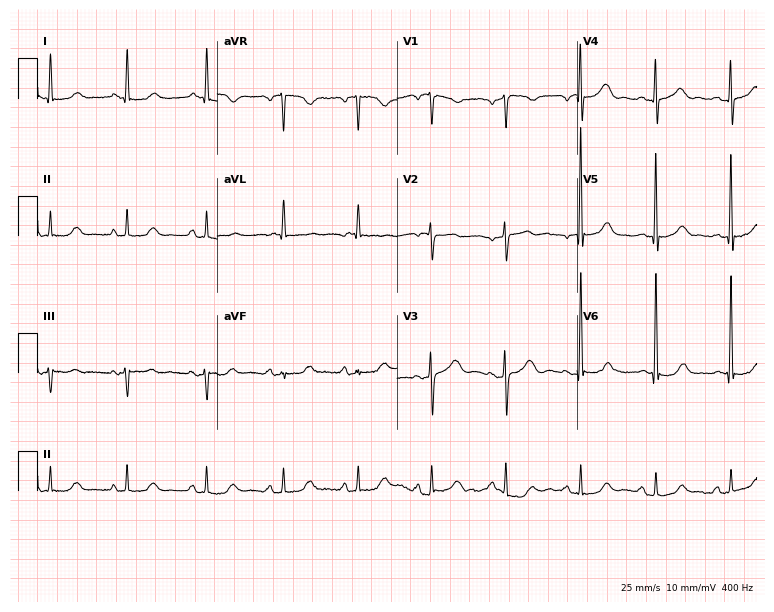
Standard 12-lead ECG recorded from a female patient, 80 years old (7.3-second recording at 400 Hz). None of these six findings is recorded: first-degree AV block, right bundle branch block, left bundle branch block, sinus bradycardia, atrial fibrillation, sinus tachycardia. Findings outside these six are not listed.